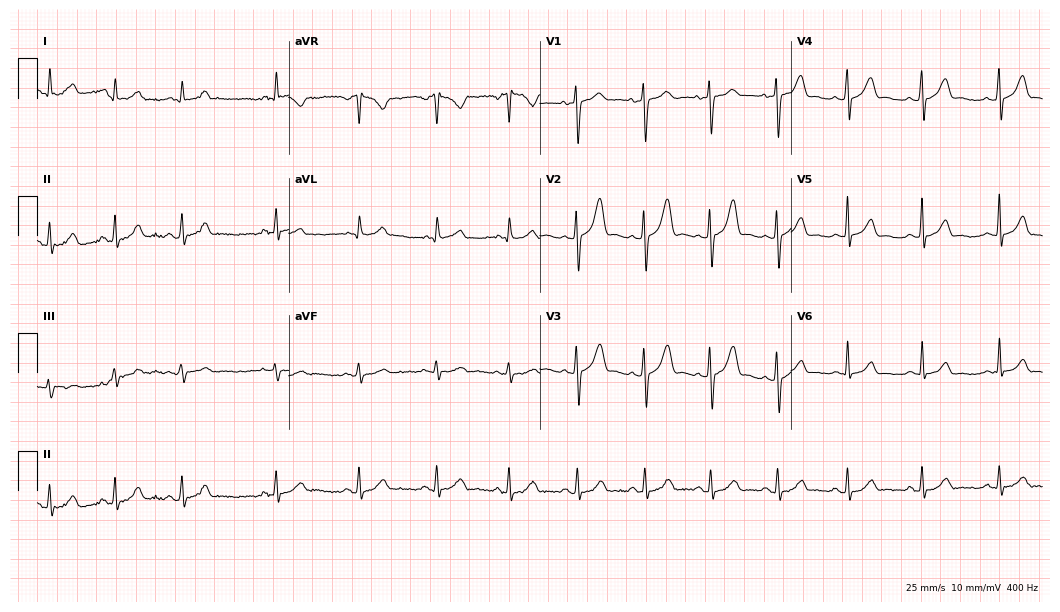
12-lead ECG from a woman, 30 years old. Recorded interpretation: within normal limits.